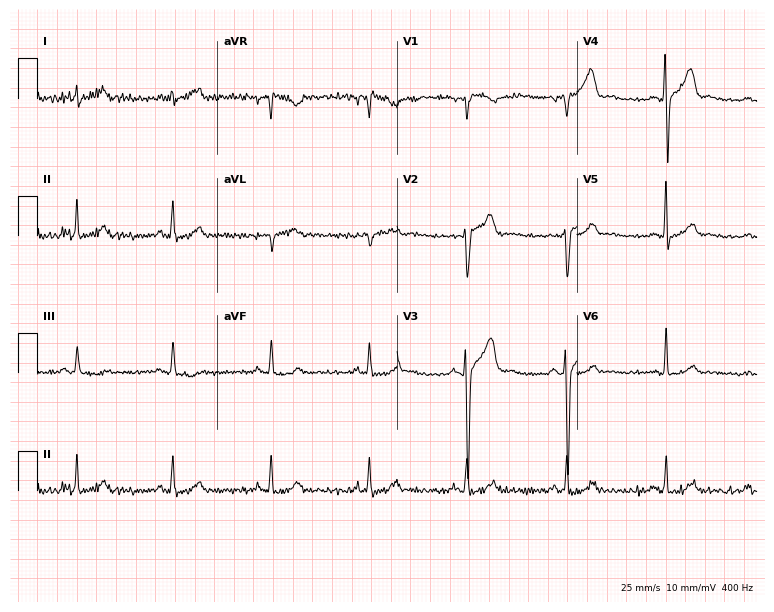
12-lead ECG from a male patient, 28 years old. Screened for six findings — first-degree AV block, right bundle branch block, left bundle branch block, sinus bradycardia, atrial fibrillation, sinus tachycardia — none is recorded. Other findings, if any, are not listed.